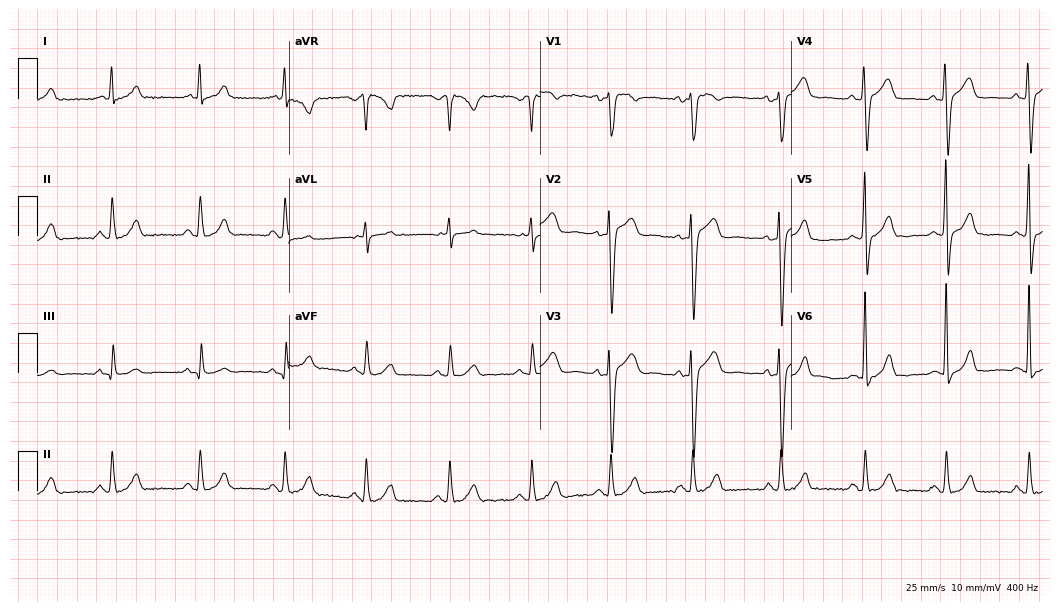
Standard 12-lead ECG recorded from a 30-year-old male (10.2-second recording at 400 Hz). Read as a normal ECG.